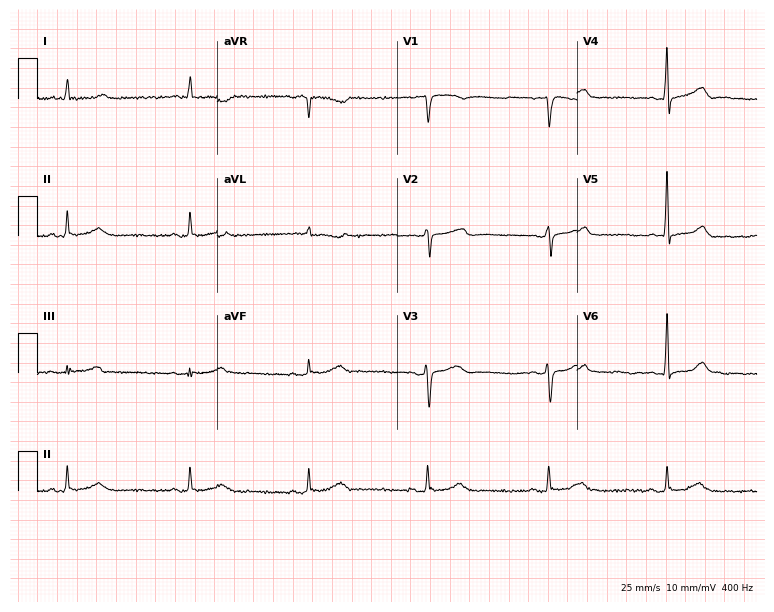
12-lead ECG from a 52-year-old female. Shows sinus bradycardia (a sinus rate of 50 beats per minute or less).